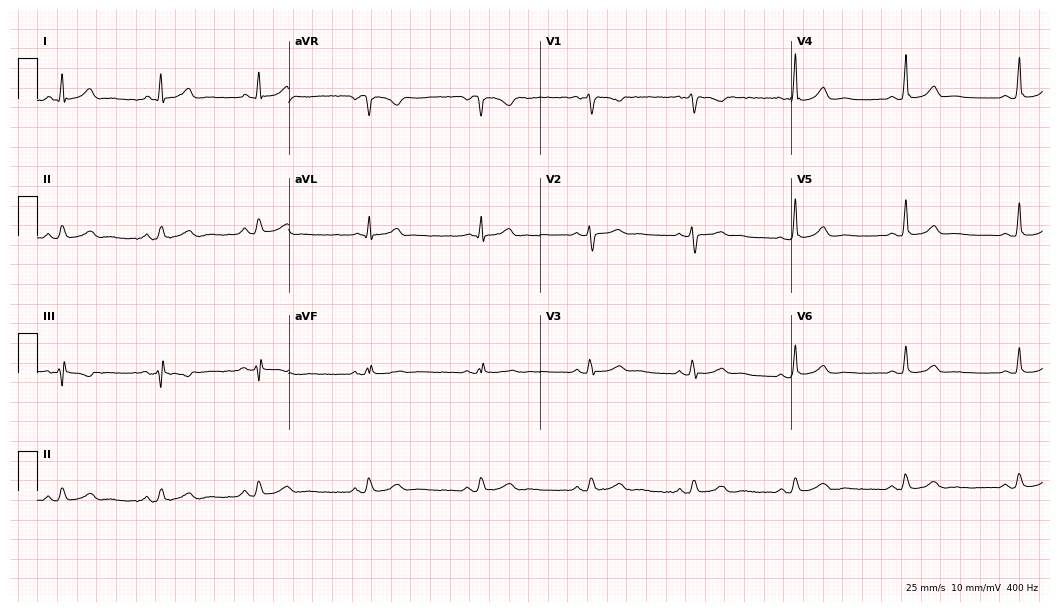
ECG — a female, 38 years old. Labelled as a normal ECG.